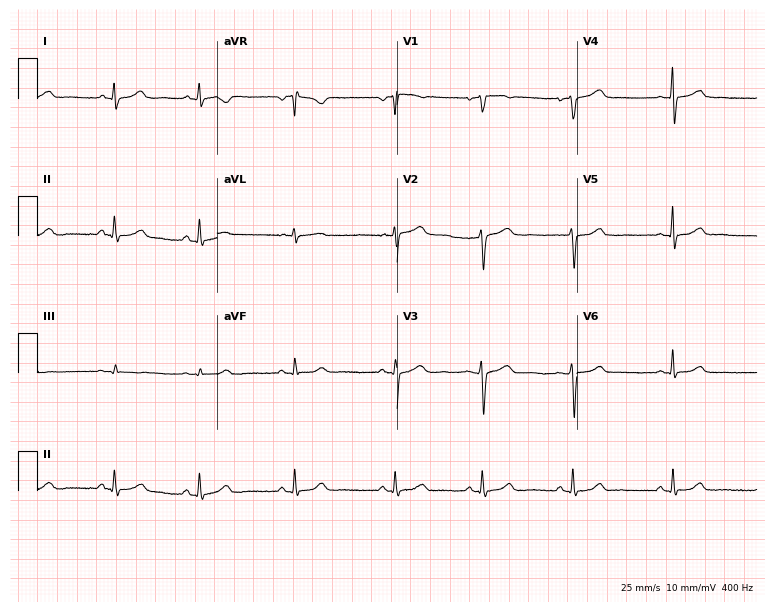
Standard 12-lead ECG recorded from a 46-year-old male patient. Read as a normal ECG.